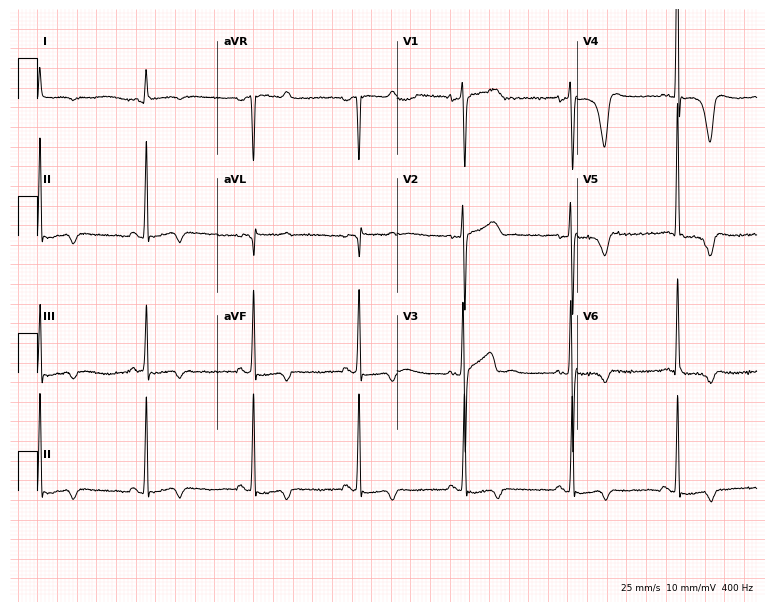
12-lead ECG from a 49-year-old man. Screened for six findings — first-degree AV block, right bundle branch block (RBBB), left bundle branch block (LBBB), sinus bradycardia, atrial fibrillation (AF), sinus tachycardia — none is recorded. Other findings, if any, are not listed.